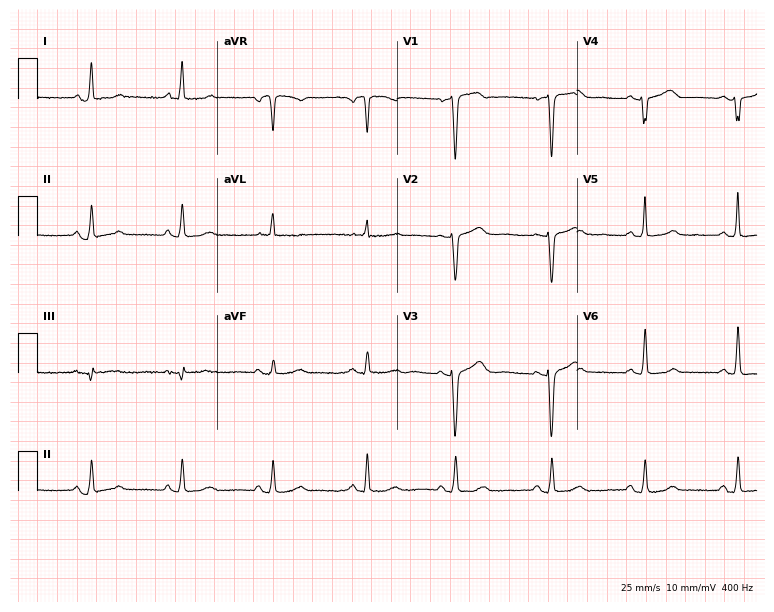
Standard 12-lead ECG recorded from an 82-year-old female patient (7.3-second recording at 400 Hz). None of these six findings is recorded: first-degree AV block, right bundle branch block (RBBB), left bundle branch block (LBBB), sinus bradycardia, atrial fibrillation (AF), sinus tachycardia. Other findings, if any, are not listed.